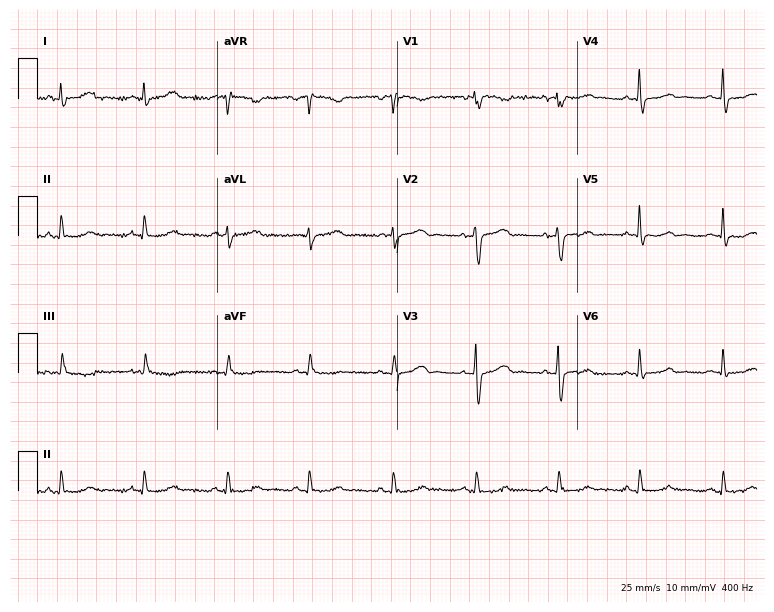
Electrocardiogram (7.3-second recording at 400 Hz), a woman, 73 years old. Overall reading on record: normal ECG.